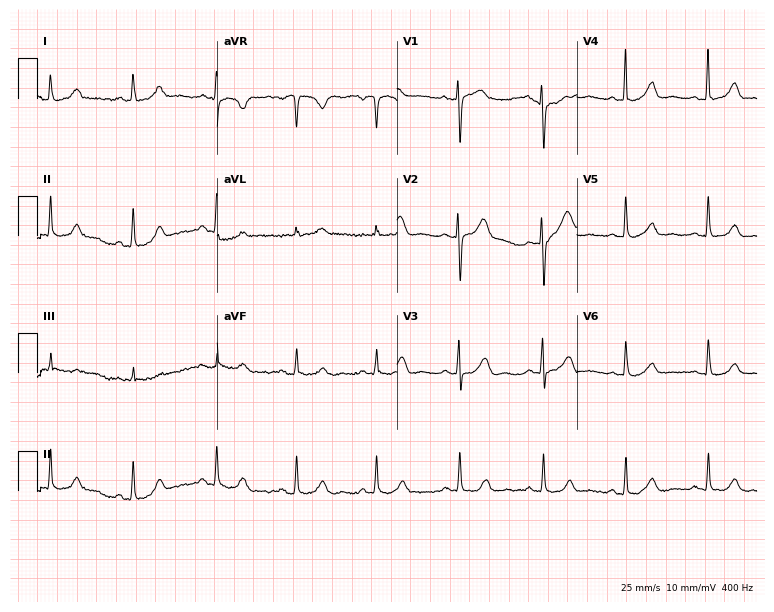
Electrocardiogram, a 54-year-old female patient. Of the six screened findings (first-degree AV block, right bundle branch block (RBBB), left bundle branch block (LBBB), sinus bradycardia, atrial fibrillation (AF), sinus tachycardia), none is recorded.